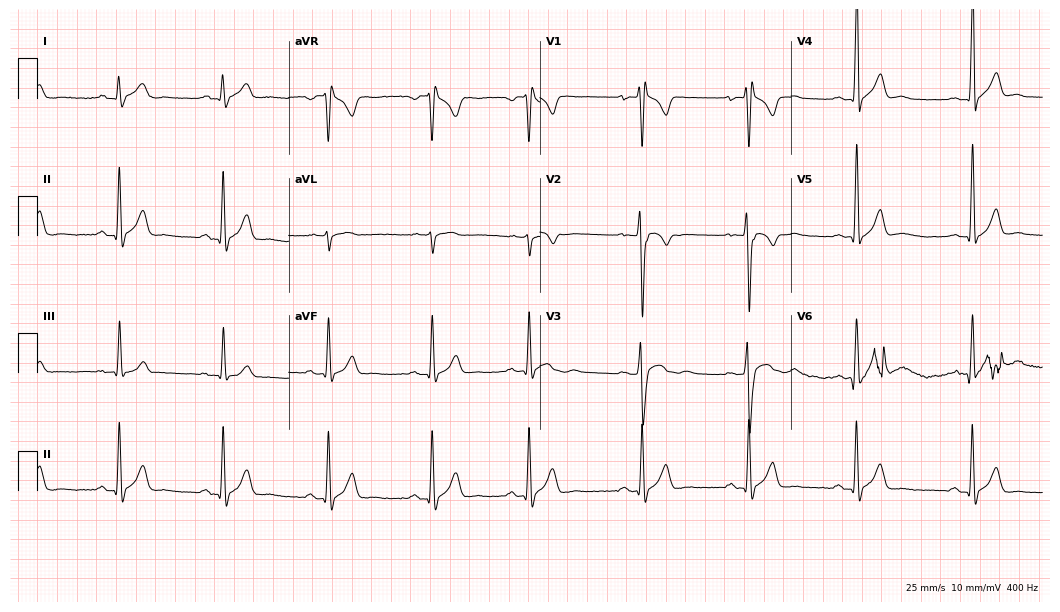
Resting 12-lead electrocardiogram (10.2-second recording at 400 Hz). Patient: a male, 20 years old. None of these six findings is recorded: first-degree AV block, right bundle branch block (RBBB), left bundle branch block (LBBB), sinus bradycardia, atrial fibrillation (AF), sinus tachycardia. Other findings, if any, are not listed.